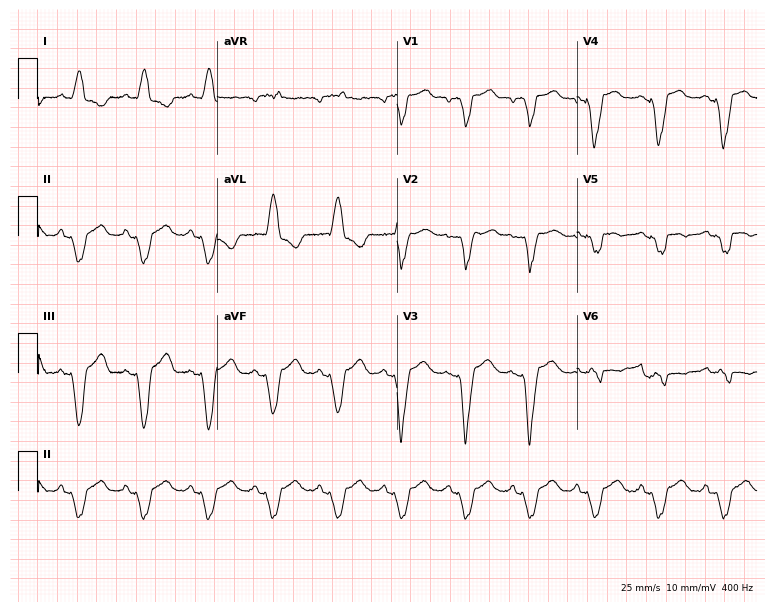
Standard 12-lead ECG recorded from a 61-year-old female (7.3-second recording at 400 Hz). The tracing shows left bundle branch block.